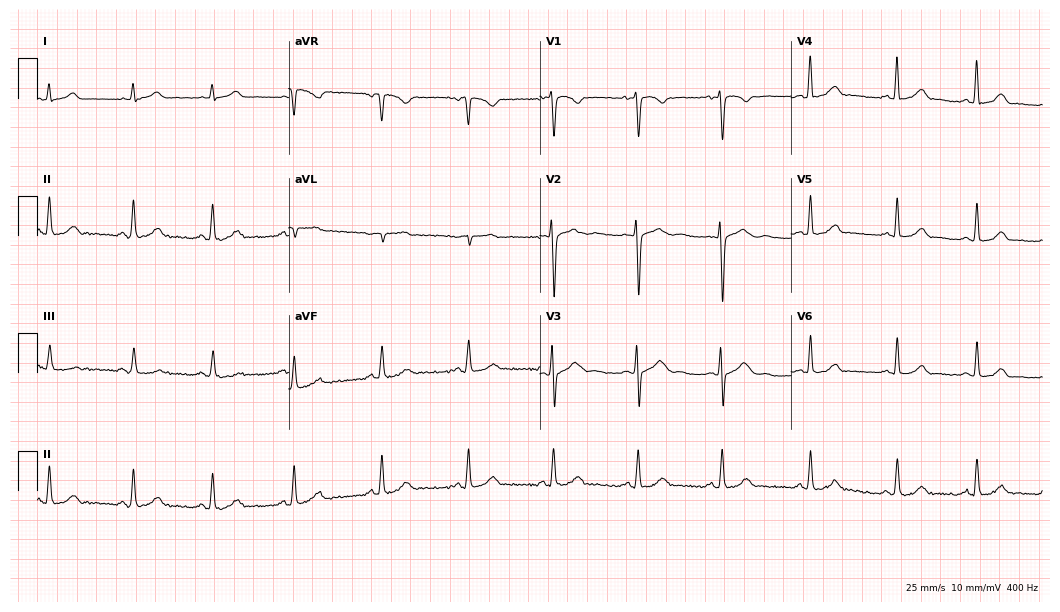
Standard 12-lead ECG recorded from a female patient, 25 years old. Read as a normal ECG.